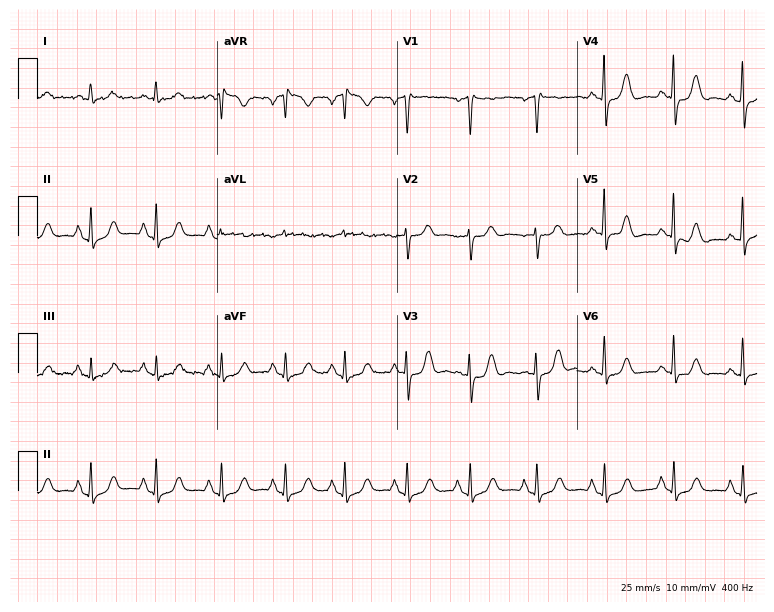
12-lead ECG (7.3-second recording at 400 Hz) from a female patient, 52 years old. Labelled as a normal ECG.